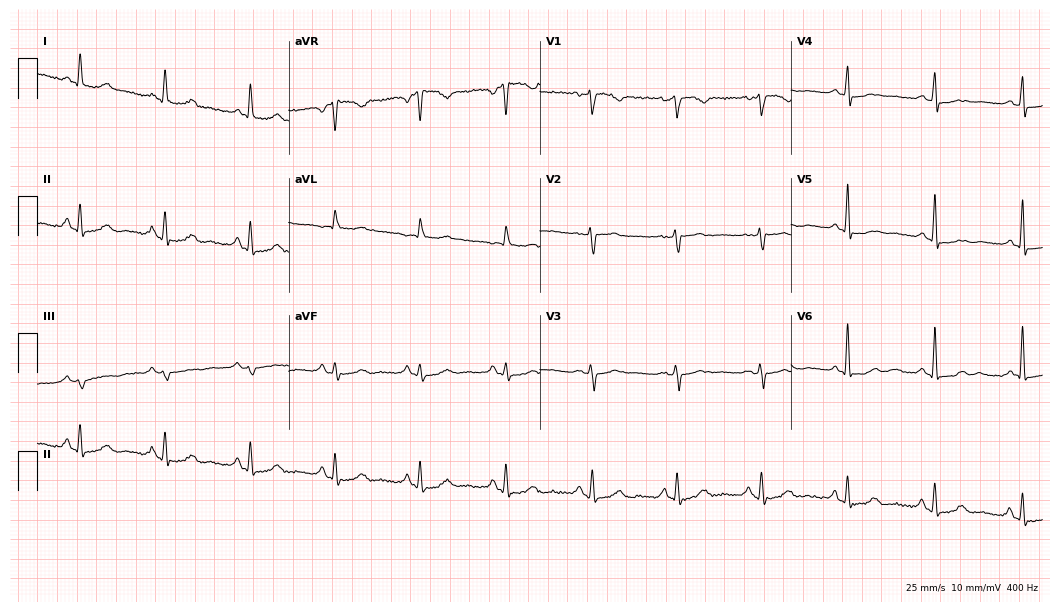
Resting 12-lead electrocardiogram (10.2-second recording at 400 Hz). Patient: a female, 67 years old. None of these six findings is recorded: first-degree AV block, right bundle branch block, left bundle branch block, sinus bradycardia, atrial fibrillation, sinus tachycardia. Other findings, if any, are not listed.